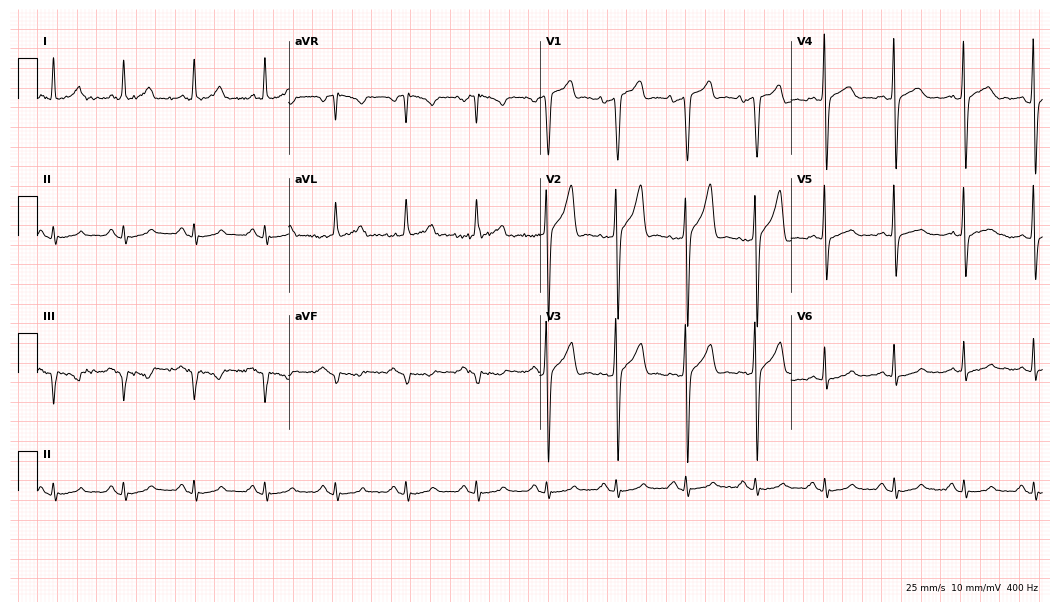
12-lead ECG from a 62-year-old male patient (10.2-second recording at 400 Hz). No first-degree AV block, right bundle branch block, left bundle branch block, sinus bradycardia, atrial fibrillation or sinus tachycardia recorded for this tracing.